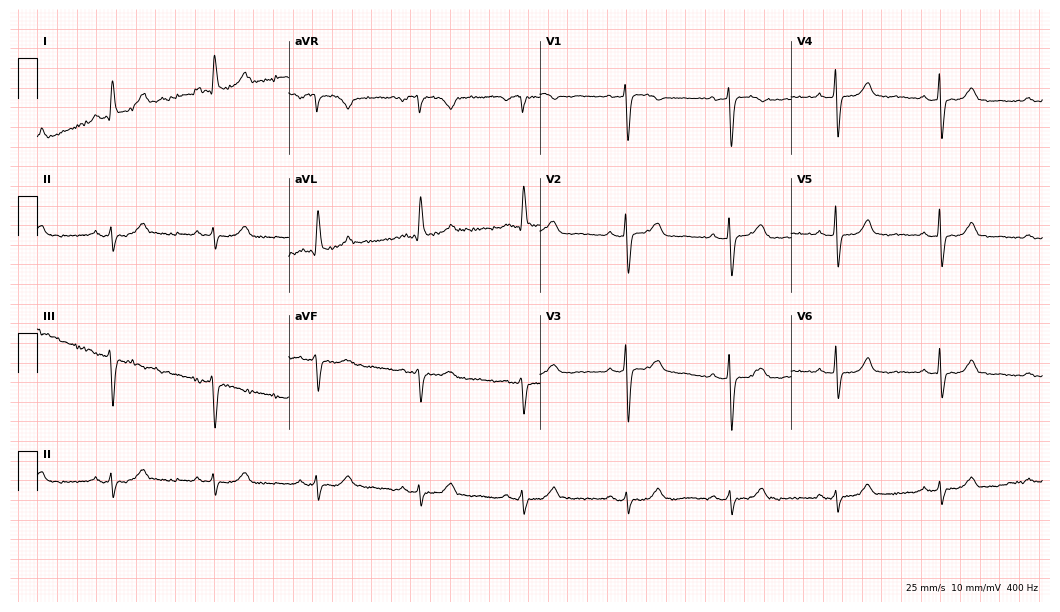
Standard 12-lead ECG recorded from a 71-year-old female (10.2-second recording at 400 Hz). None of these six findings is recorded: first-degree AV block, right bundle branch block, left bundle branch block, sinus bradycardia, atrial fibrillation, sinus tachycardia.